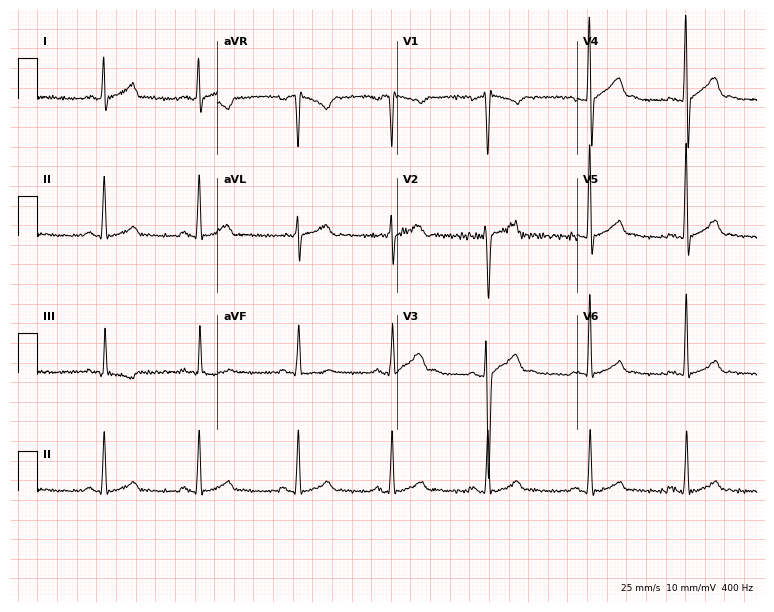
12-lead ECG from a 29-year-old man. Recorded interpretation: within normal limits.